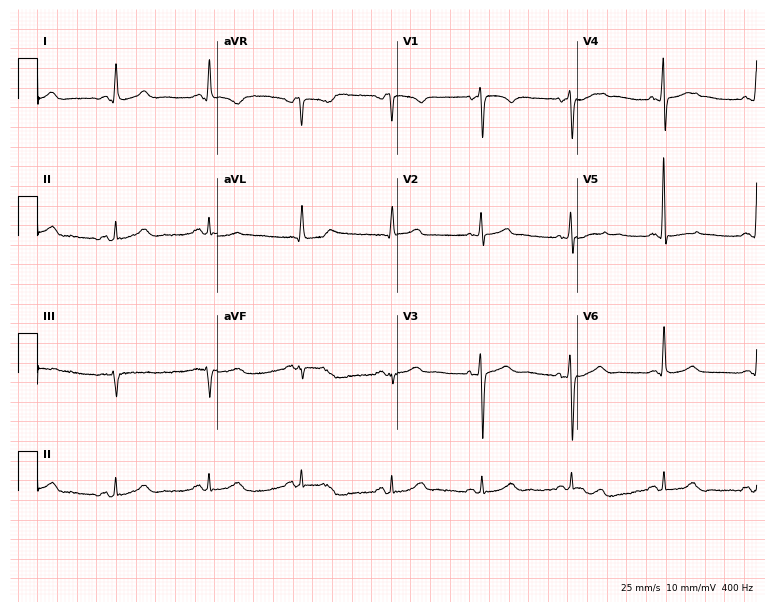
12-lead ECG from a man, 68 years old. Screened for six findings — first-degree AV block, right bundle branch block, left bundle branch block, sinus bradycardia, atrial fibrillation, sinus tachycardia — none is recorded. Findings outside these six are not listed.